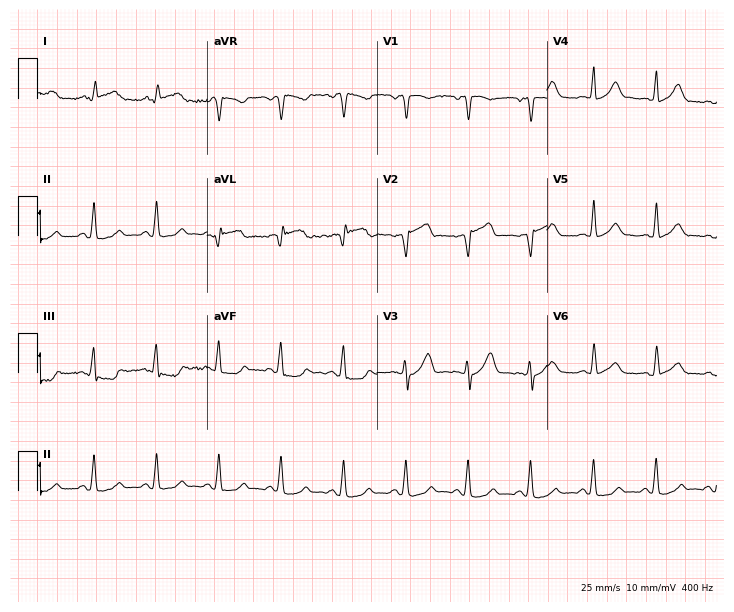
Standard 12-lead ECG recorded from a man, 56 years old. Read as a normal ECG.